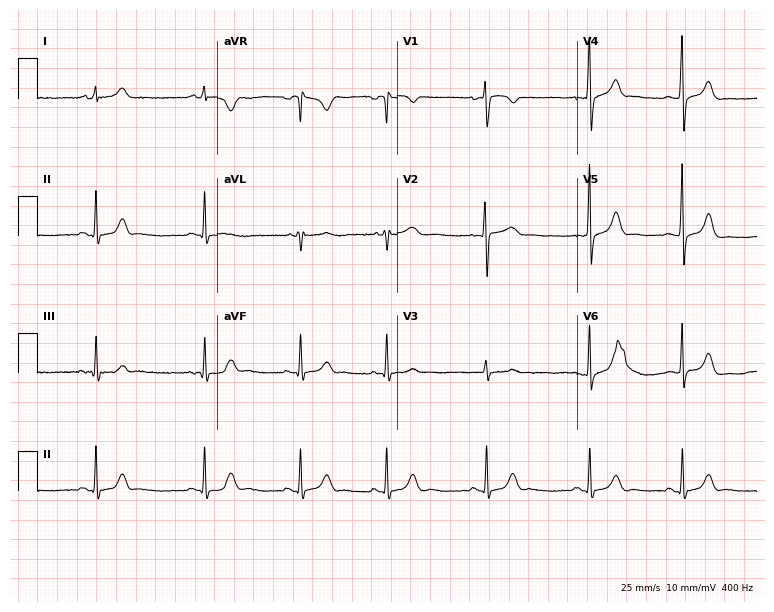
ECG — a woman, 19 years old. Labelled as a normal ECG.